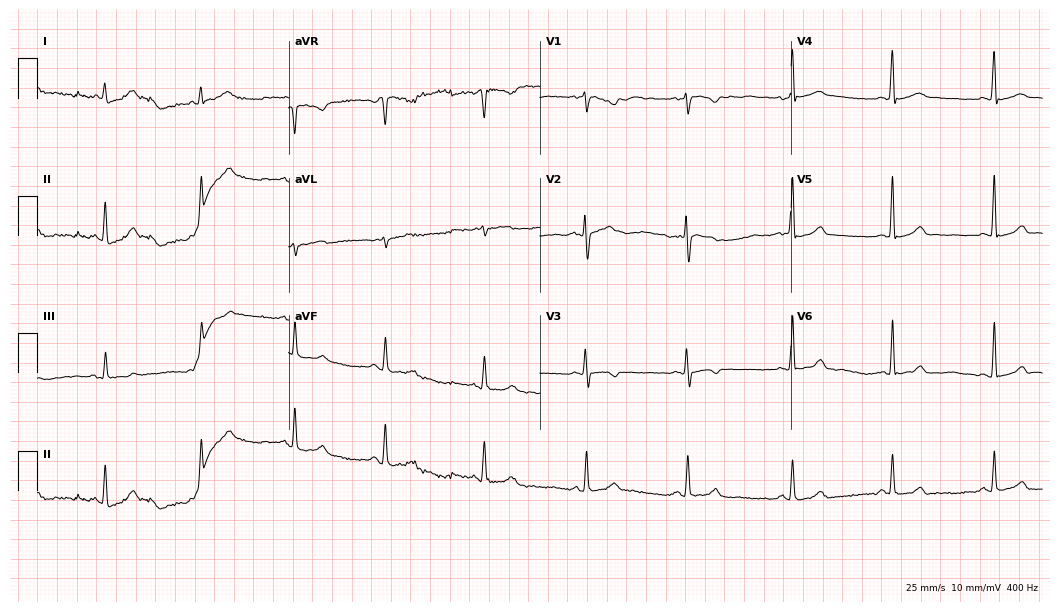
12-lead ECG from a woman, 29 years old. Recorded interpretation: within normal limits.